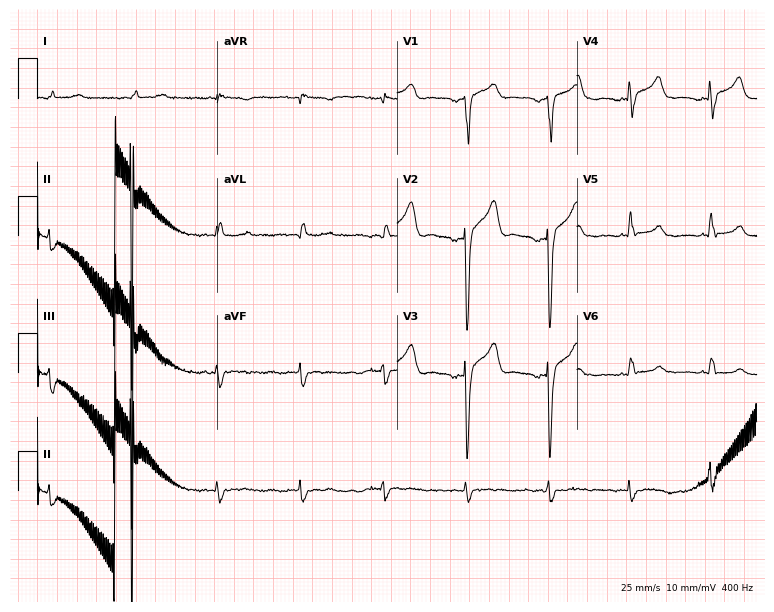
ECG (7.3-second recording at 400 Hz) — an 81-year-old male. Screened for six findings — first-degree AV block, right bundle branch block, left bundle branch block, sinus bradycardia, atrial fibrillation, sinus tachycardia — none is recorded. Findings outside these six are not listed.